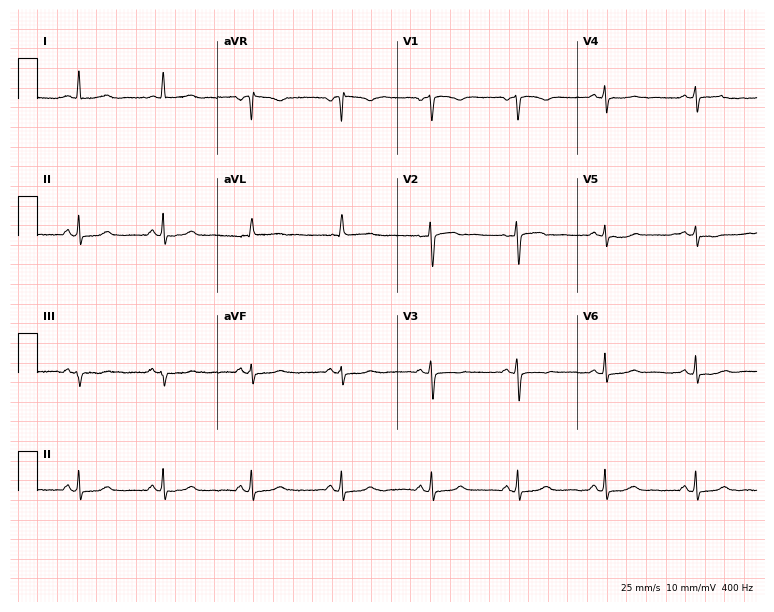
12-lead ECG from a woman, 46 years old. Screened for six findings — first-degree AV block, right bundle branch block, left bundle branch block, sinus bradycardia, atrial fibrillation, sinus tachycardia — none is recorded.